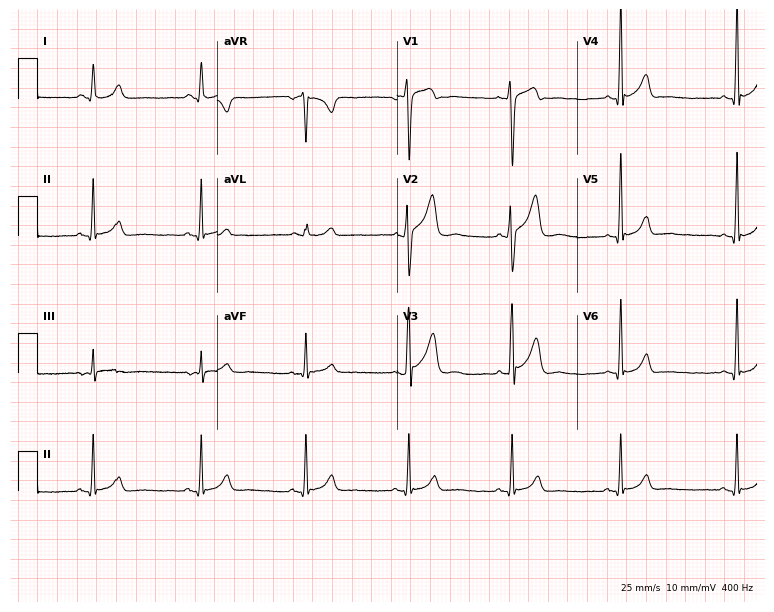
Resting 12-lead electrocardiogram. Patient: a male, 18 years old. None of these six findings is recorded: first-degree AV block, right bundle branch block (RBBB), left bundle branch block (LBBB), sinus bradycardia, atrial fibrillation (AF), sinus tachycardia.